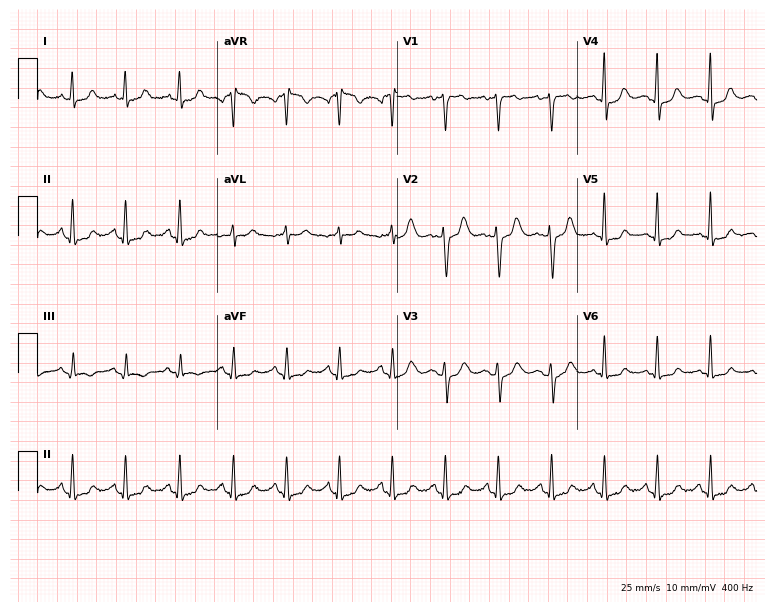
Standard 12-lead ECG recorded from a 50-year-old female (7.3-second recording at 400 Hz). The tracing shows sinus tachycardia (a sinus rate of 100 beats per minute or more).